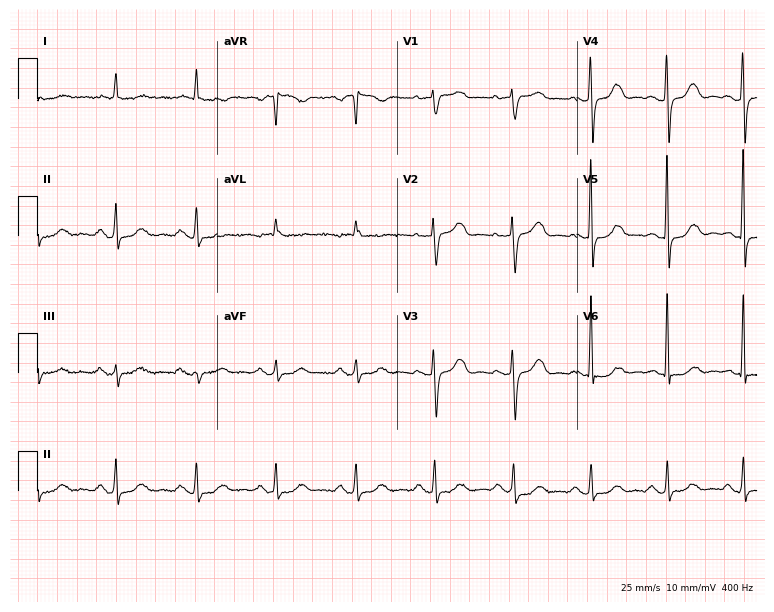
ECG — a 78-year-old female patient. Labelled as a normal ECG.